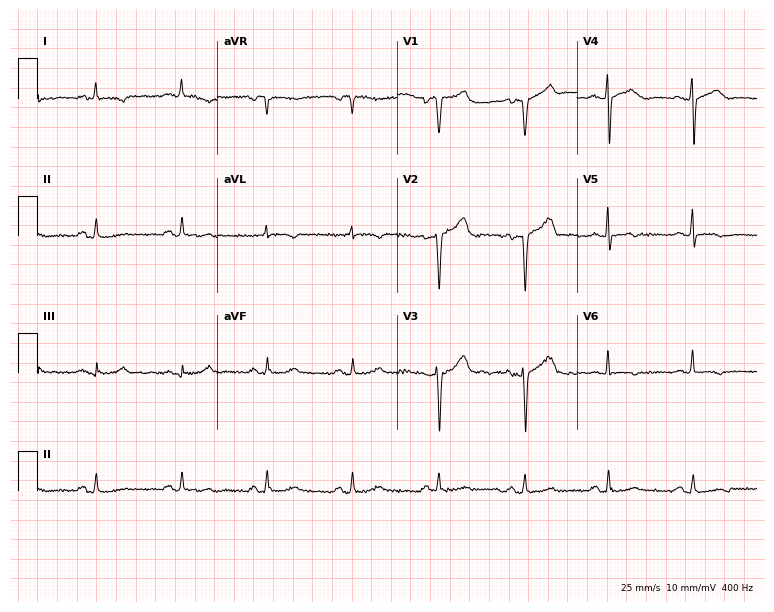
Electrocardiogram, a 63-year-old man. Of the six screened findings (first-degree AV block, right bundle branch block, left bundle branch block, sinus bradycardia, atrial fibrillation, sinus tachycardia), none is recorded. Only these six findings were labelled.